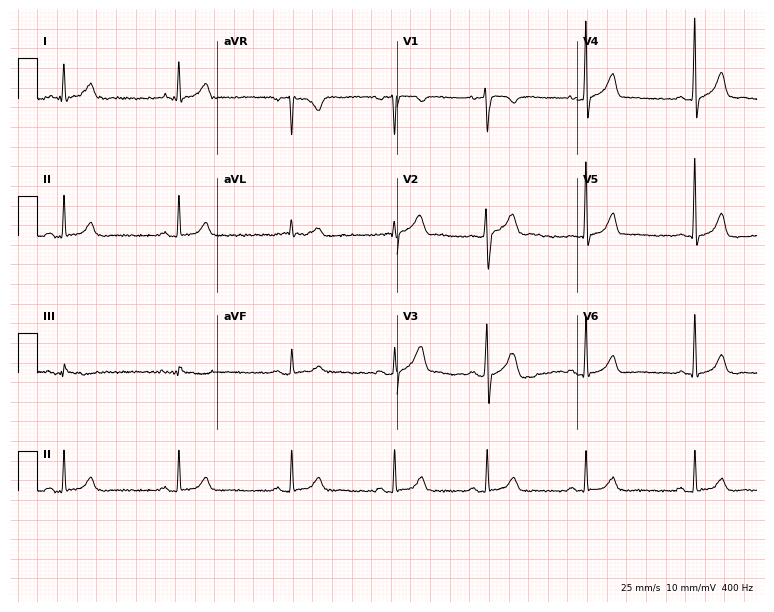
ECG — a 44-year-old man. Labelled as a normal ECG.